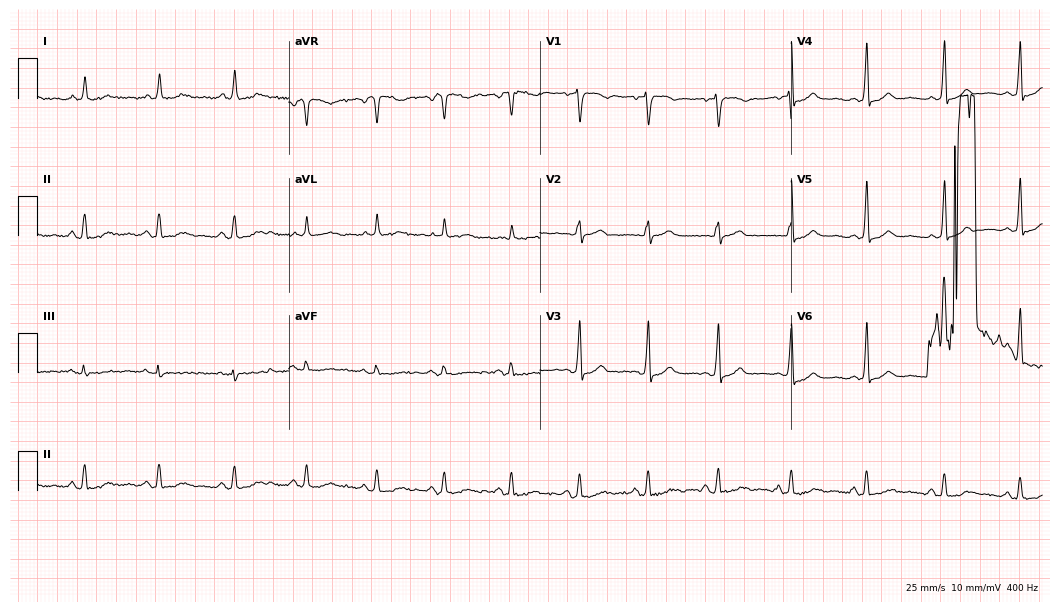
12-lead ECG from a female patient, 69 years old. Recorded interpretation: within normal limits.